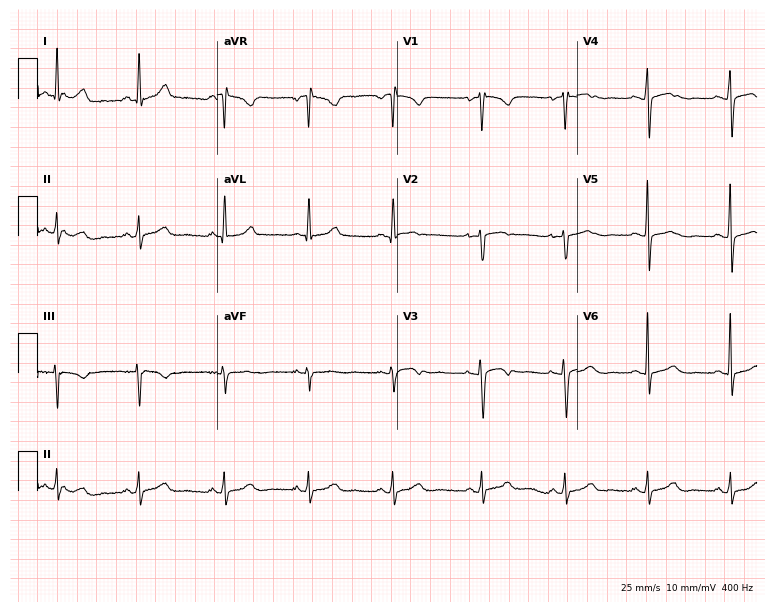
ECG (7.3-second recording at 400 Hz) — a female patient, 43 years old. Labelled as a normal ECG.